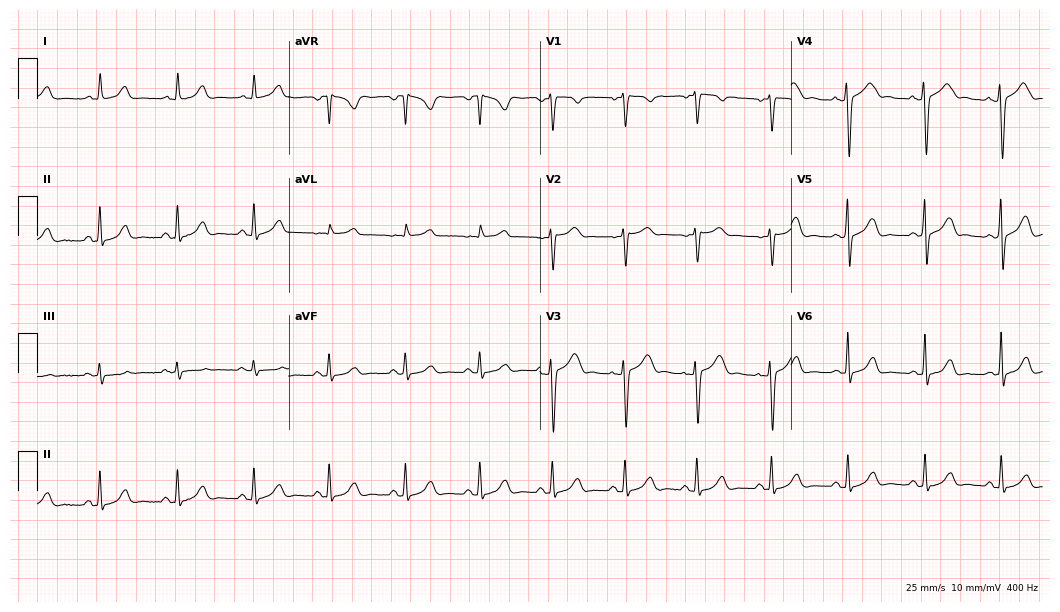
Electrocardiogram (10.2-second recording at 400 Hz), a female patient, 39 years old. Of the six screened findings (first-degree AV block, right bundle branch block (RBBB), left bundle branch block (LBBB), sinus bradycardia, atrial fibrillation (AF), sinus tachycardia), none is recorded.